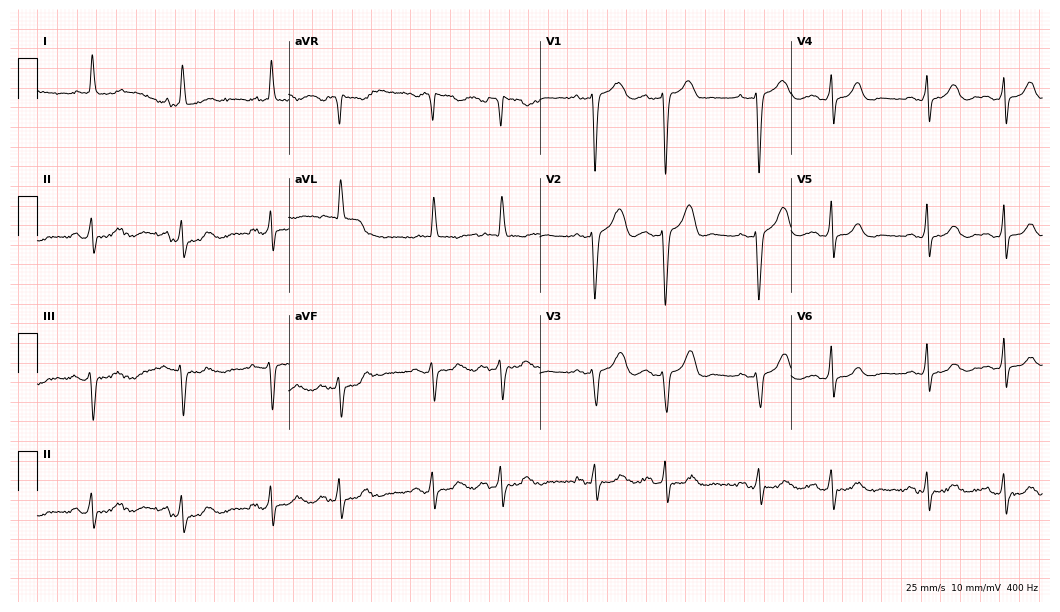
12-lead ECG (10.2-second recording at 400 Hz) from a woman, 77 years old. Screened for six findings — first-degree AV block, right bundle branch block, left bundle branch block, sinus bradycardia, atrial fibrillation, sinus tachycardia — none is recorded.